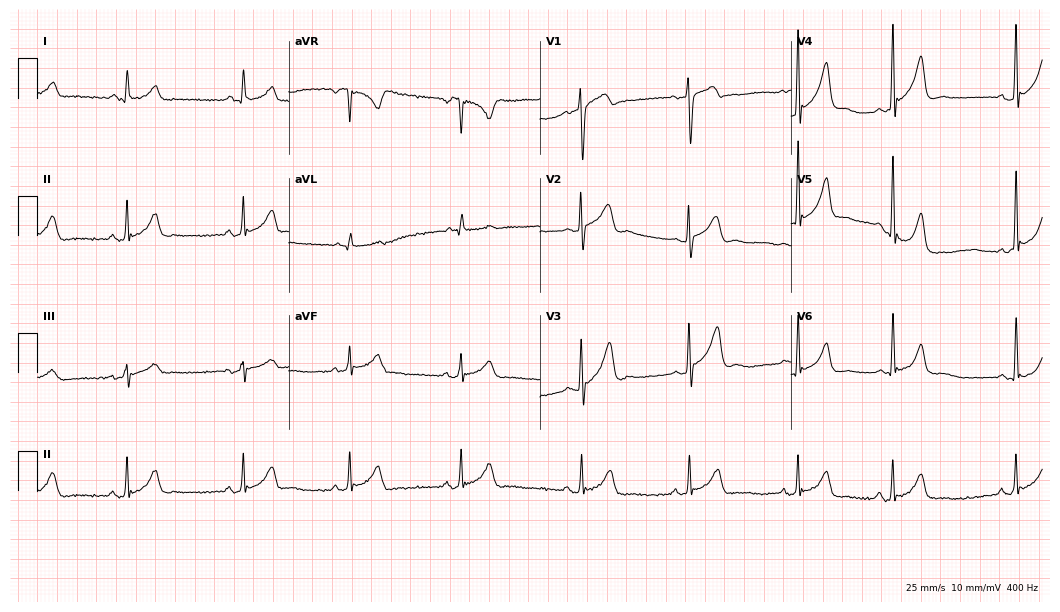
Electrocardiogram (10.2-second recording at 400 Hz), a man, 21 years old. Overall reading on record: normal ECG.